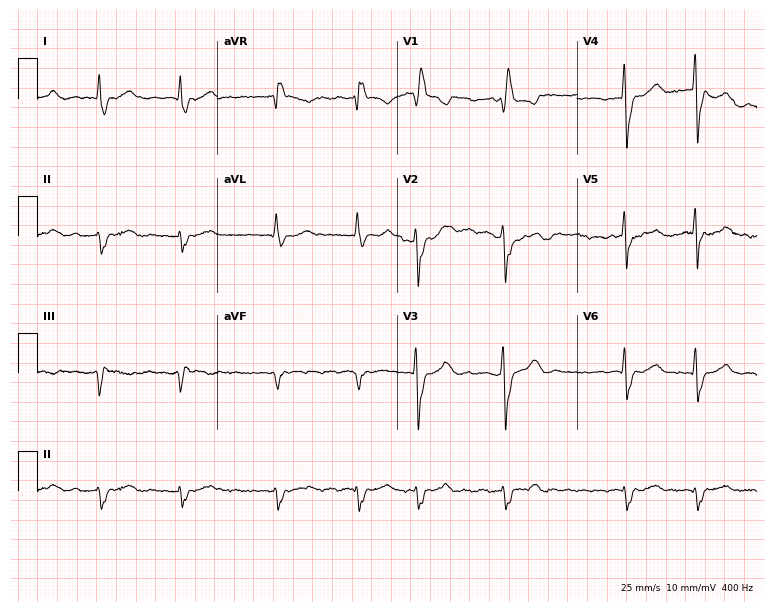
12-lead ECG from a male patient, 77 years old. No first-degree AV block, right bundle branch block (RBBB), left bundle branch block (LBBB), sinus bradycardia, atrial fibrillation (AF) or sinus tachycardia recorded for this tracing.